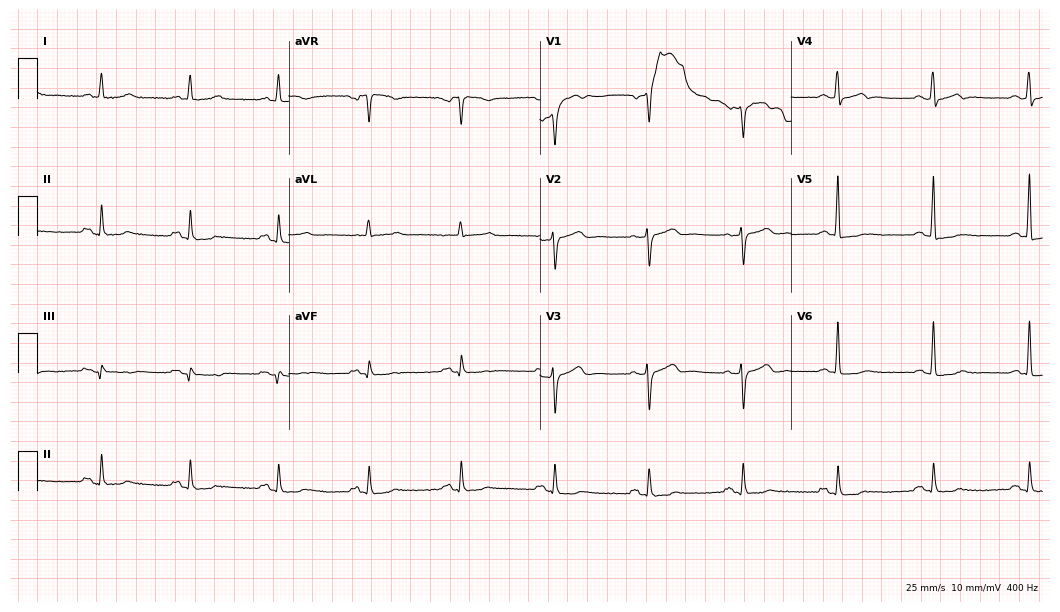
12-lead ECG (10.2-second recording at 400 Hz) from a male, 79 years old. Screened for six findings — first-degree AV block, right bundle branch block, left bundle branch block, sinus bradycardia, atrial fibrillation, sinus tachycardia — none is recorded. Other findings, if any, are not listed.